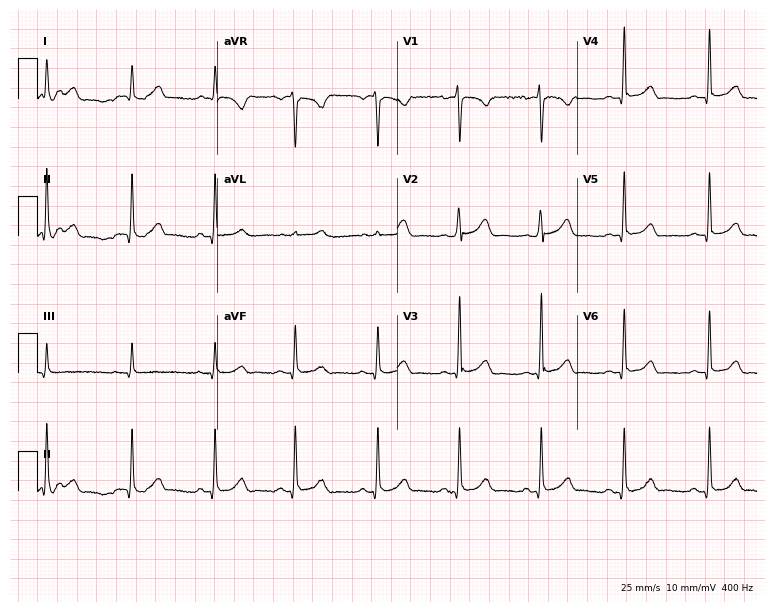
12-lead ECG from a 19-year-old female (7.3-second recording at 400 Hz). No first-degree AV block, right bundle branch block (RBBB), left bundle branch block (LBBB), sinus bradycardia, atrial fibrillation (AF) or sinus tachycardia recorded for this tracing. Findings outside these six are not listed.